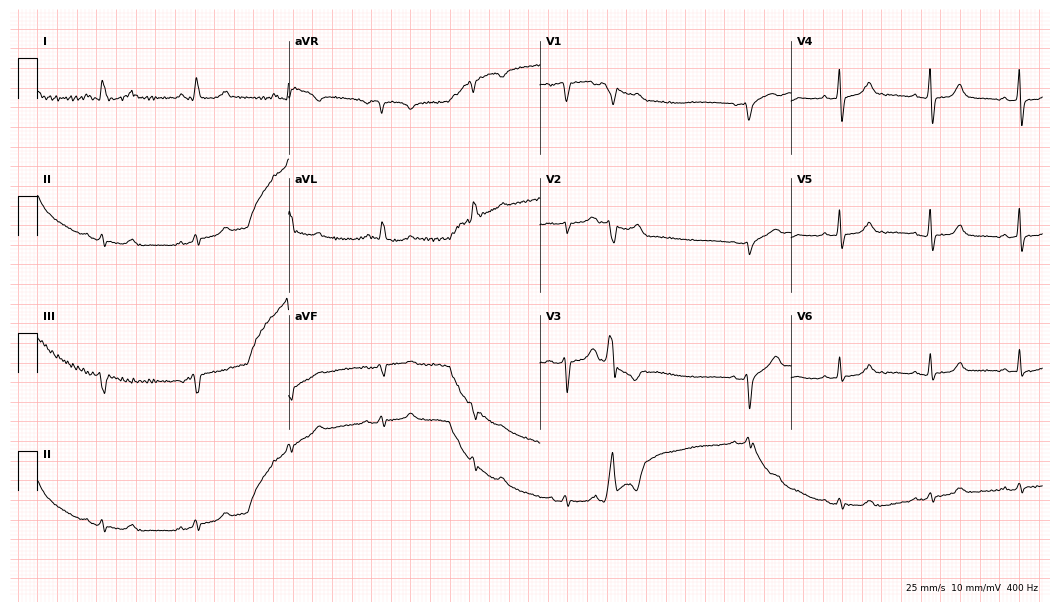
12-lead ECG from a 69-year-old female patient (10.2-second recording at 400 Hz). No first-degree AV block, right bundle branch block (RBBB), left bundle branch block (LBBB), sinus bradycardia, atrial fibrillation (AF) or sinus tachycardia recorded for this tracing.